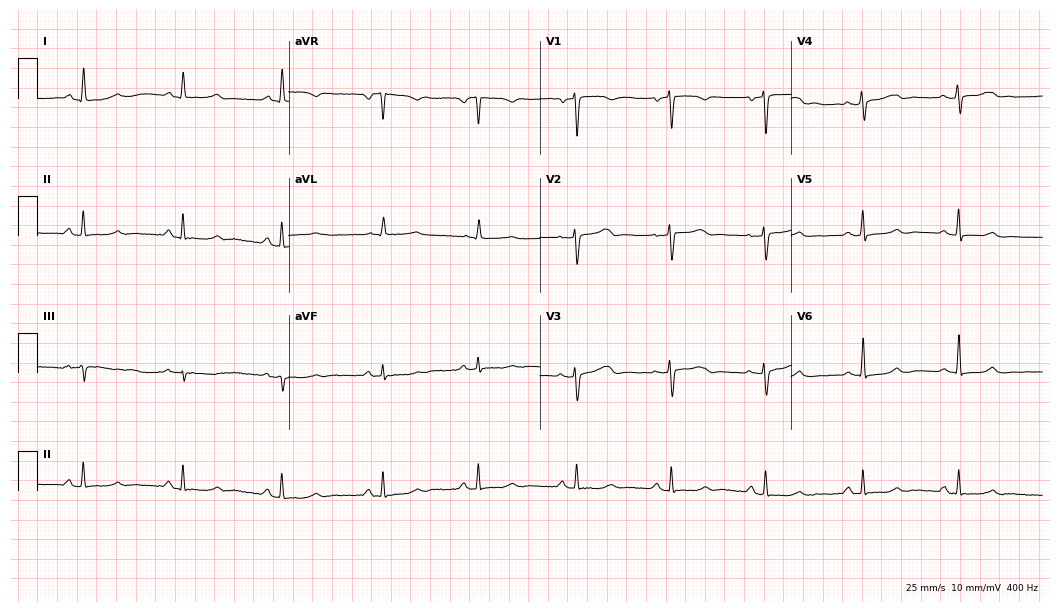
Electrocardiogram, a 49-year-old female. Overall reading on record: normal ECG.